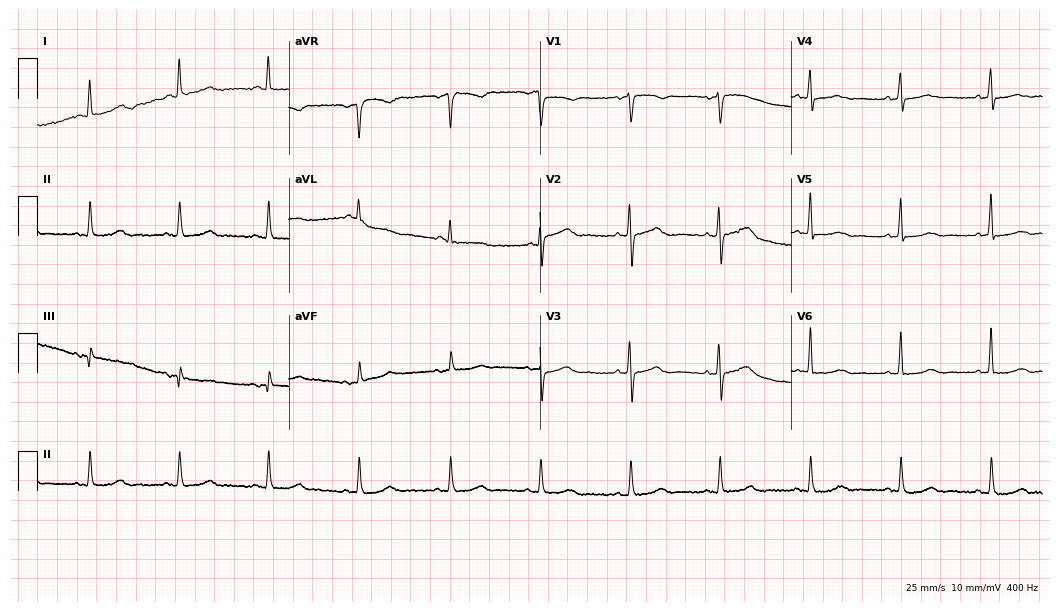
12-lead ECG (10.2-second recording at 400 Hz) from a female patient, 60 years old. Labelled as a normal ECG.